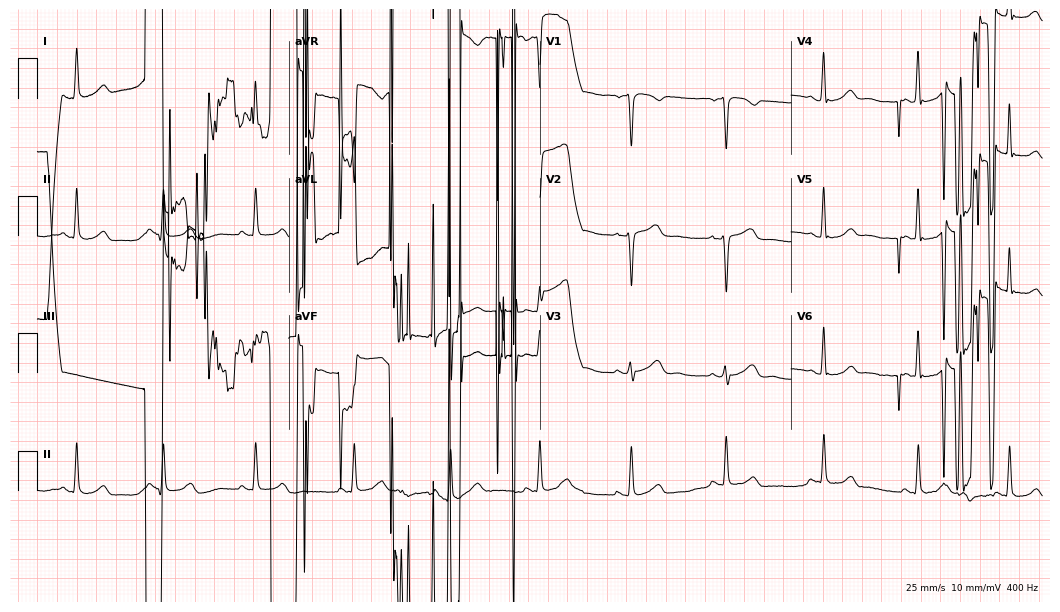
12-lead ECG from a 50-year-old female. No first-degree AV block, right bundle branch block (RBBB), left bundle branch block (LBBB), sinus bradycardia, atrial fibrillation (AF) or sinus tachycardia recorded for this tracing. Findings outside these six are not listed.